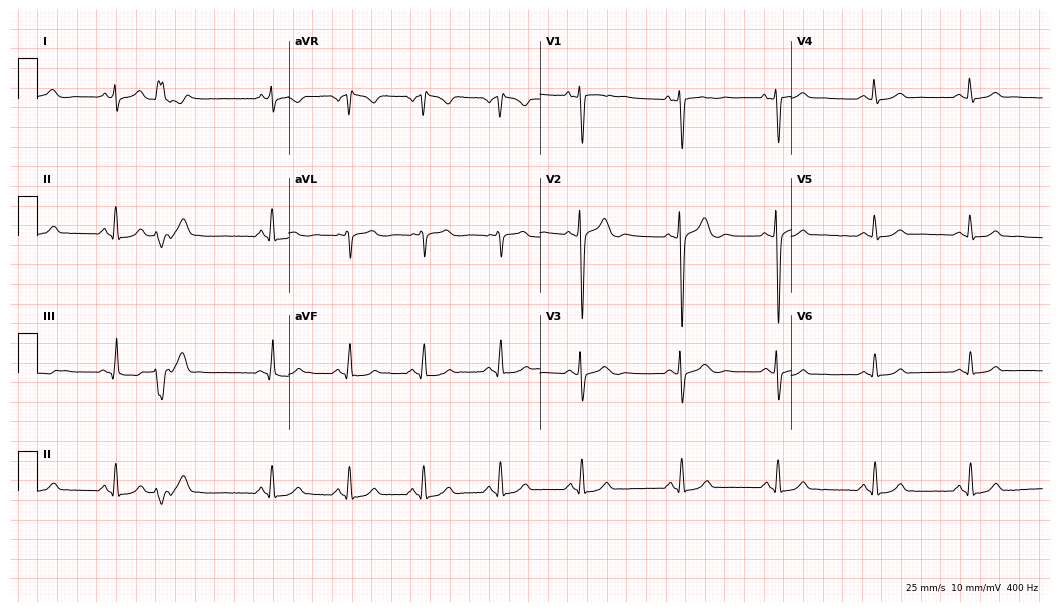
12-lead ECG from a male, 35 years old (10.2-second recording at 400 Hz). No first-degree AV block, right bundle branch block (RBBB), left bundle branch block (LBBB), sinus bradycardia, atrial fibrillation (AF) or sinus tachycardia recorded for this tracing.